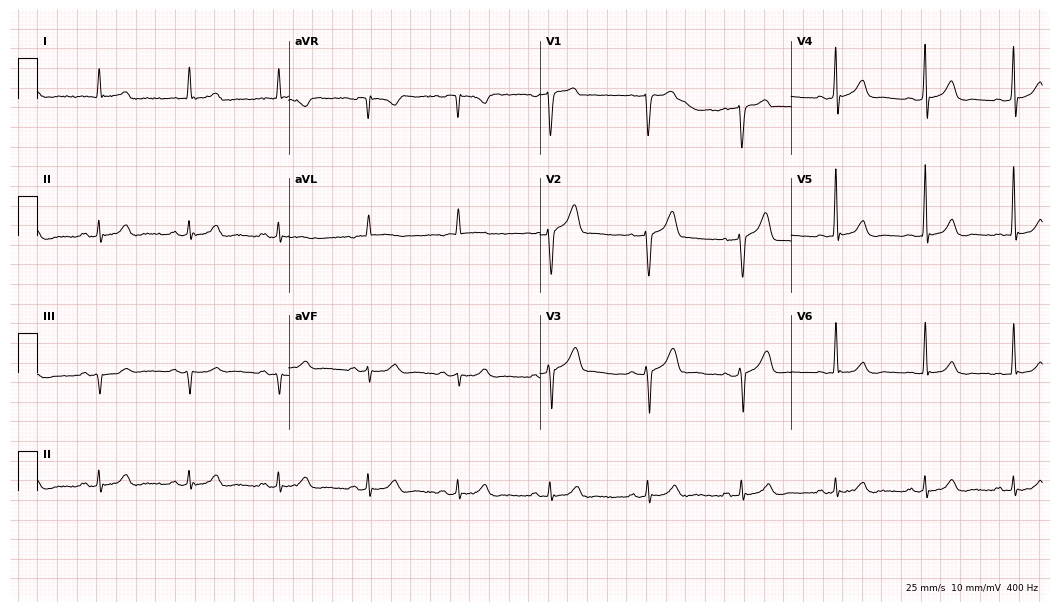
Standard 12-lead ECG recorded from a 69-year-old man. Read as a normal ECG.